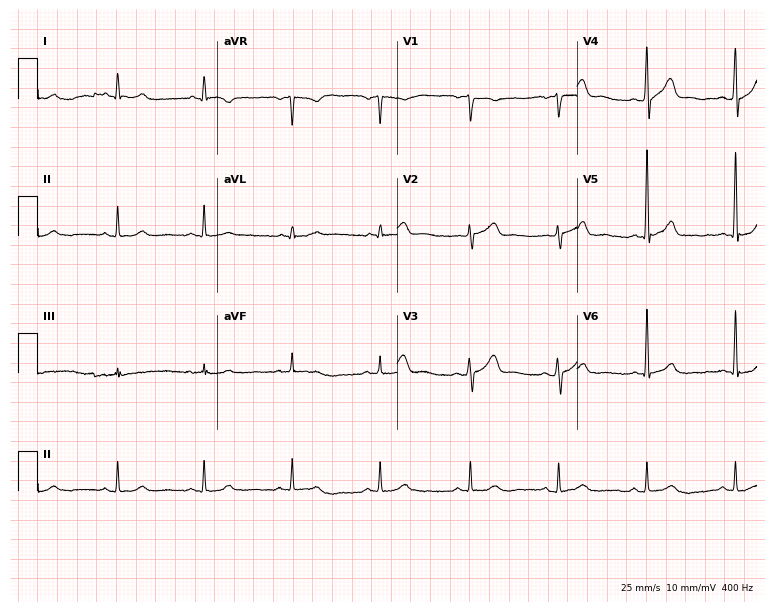
Resting 12-lead electrocardiogram. Patient: a 63-year-old male. Read as a normal ECG.